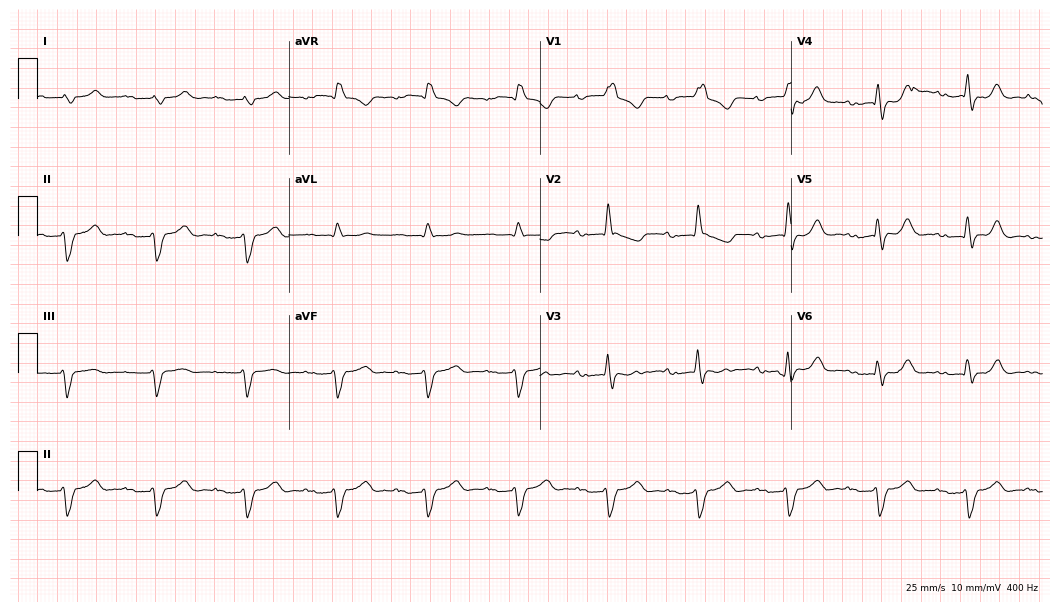
Resting 12-lead electrocardiogram. Patient: a man, 71 years old. The tracing shows right bundle branch block.